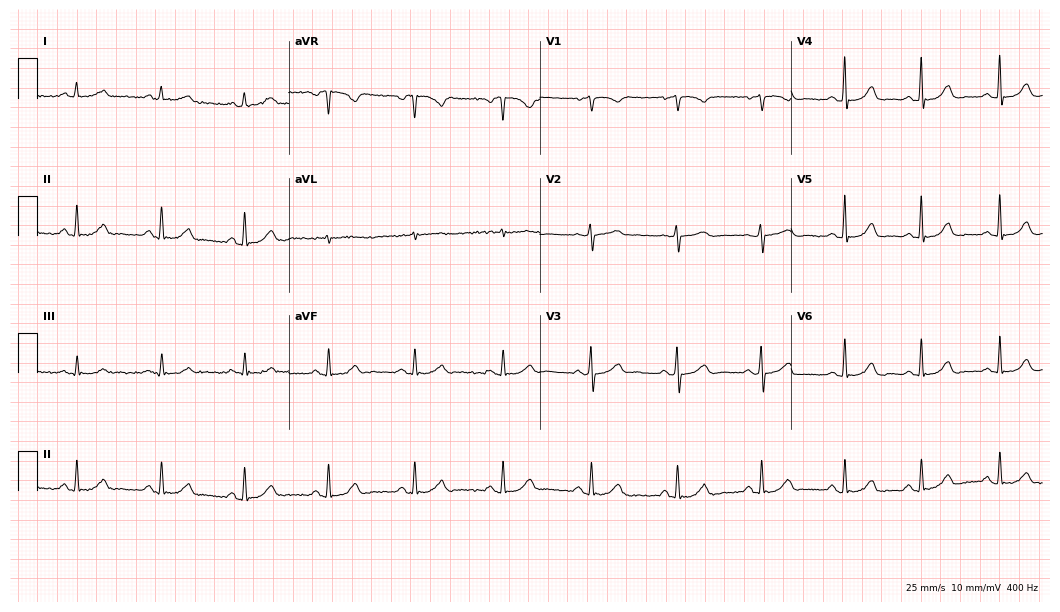
Resting 12-lead electrocardiogram (10.2-second recording at 400 Hz). Patient: a woman, 62 years old. Read as a normal ECG.